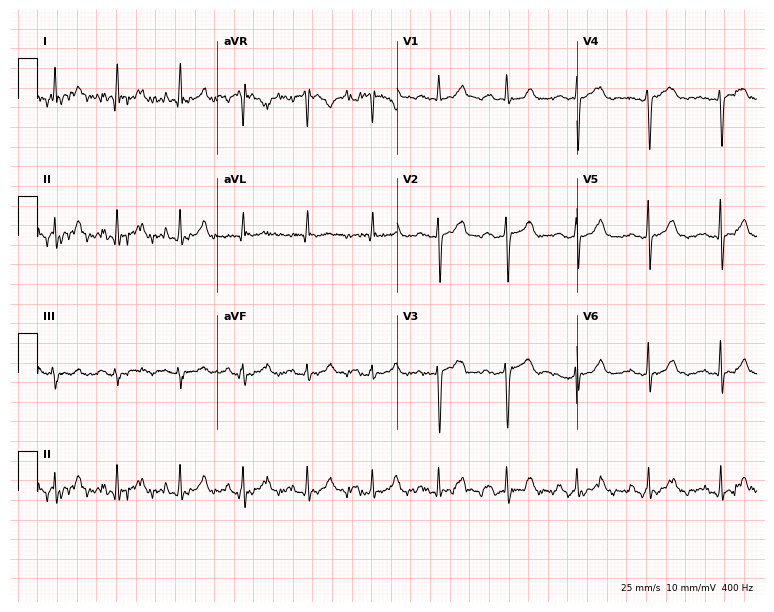
Electrocardiogram, a 50-year-old female patient. Of the six screened findings (first-degree AV block, right bundle branch block (RBBB), left bundle branch block (LBBB), sinus bradycardia, atrial fibrillation (AF), sinus tachycardia), none is recorded.